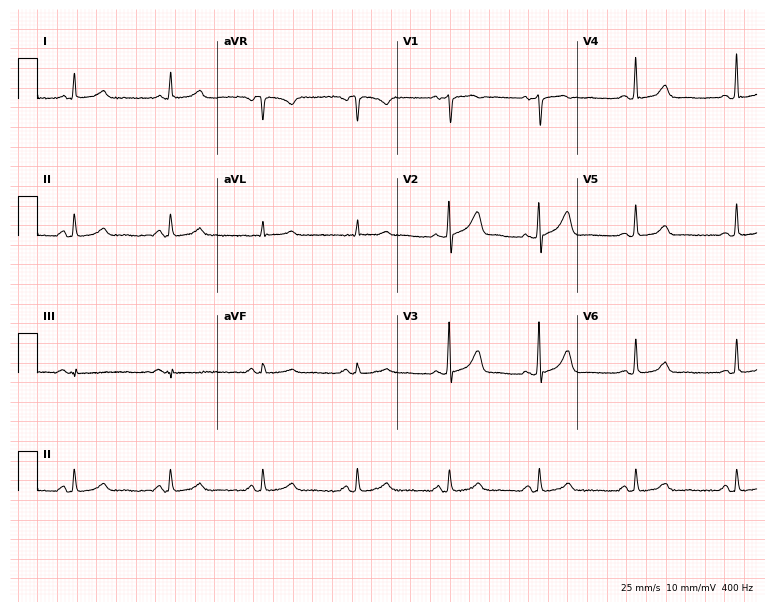
12-lead ECG from a woman, 62 years old. Labelled as a normal ECG.